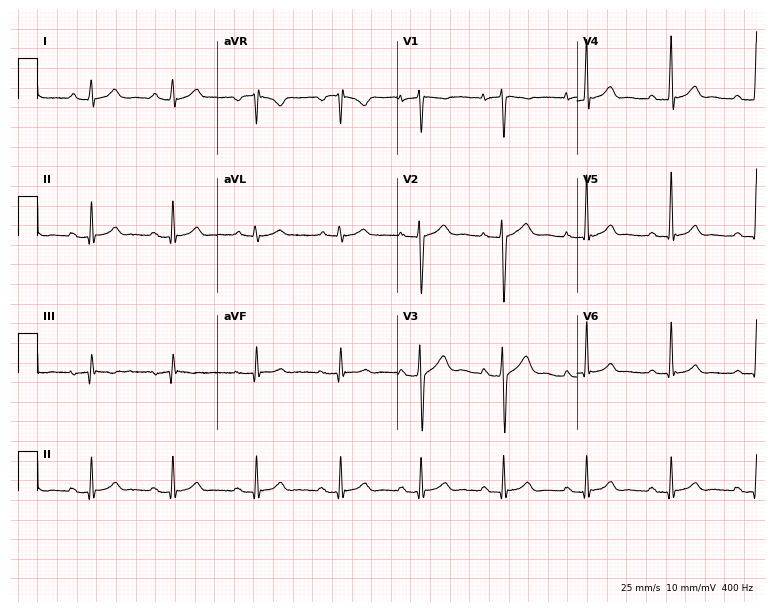
Standard 12-lead ECG recorded from a male patient, 27 years old (7.3-second recording at 400 Hz). None of these six findings is recorded: first-degree AV block, right bundle branch block, left bundle branch block, sinus bradycardia, atrial fibrillation, sinus tachycardia.